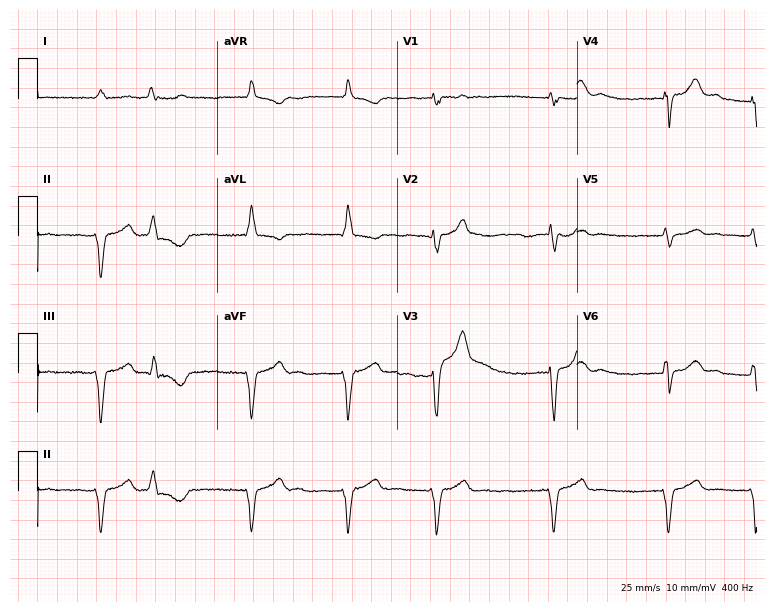
Resting 12-lead electrocardiogram (7.3-second recording at 400 Hz). Patient: a 65-year-old man. The tracing shows left bundle branch block, atrial fibrillation.